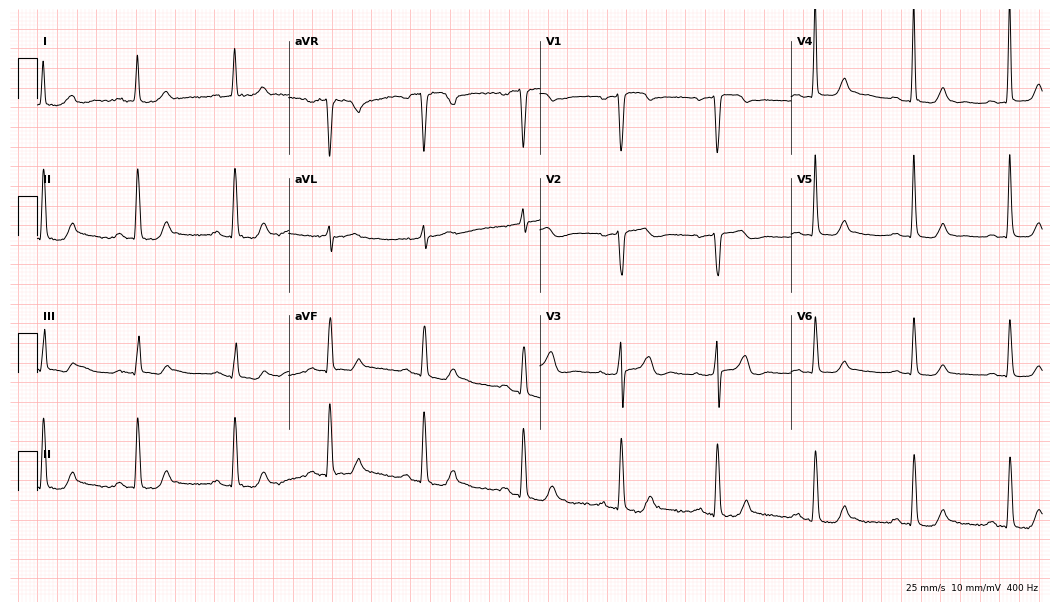
ECG (10.2-second recording at 400 Hz) — a female patient, 78 years old. Screened for six findings — first-degree AV block, right bundle branch block, left bundle branch block, sinus bradycardia, atrial fibrillation, sinus tachycardia — none is recorded.